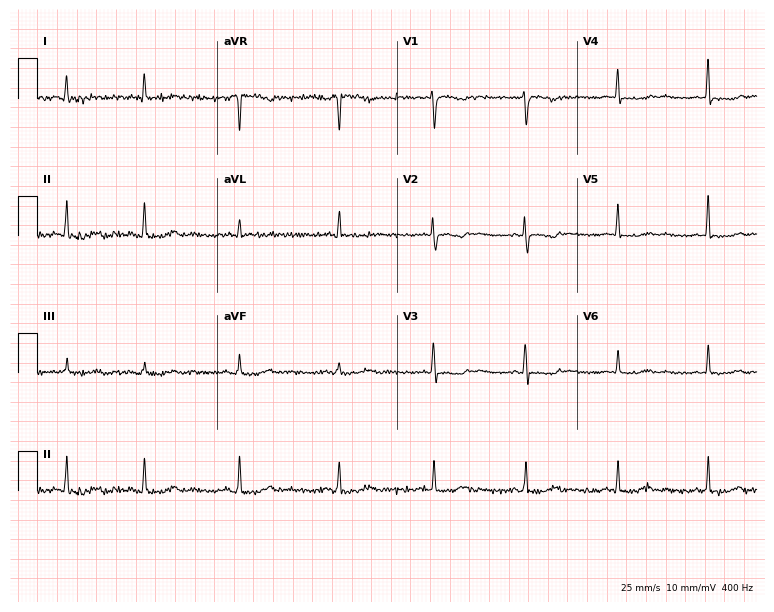
Standard 12-lead ECG recorded from a 57-year-old female. None of these six findings is recorded: first-degree AV block, right bundle branch block (RBBB), left bundle branch block (LBBB), sinus bradycardia, atrial fibrillation (AF), sinus tachycardia. Only these six findings were labelled.